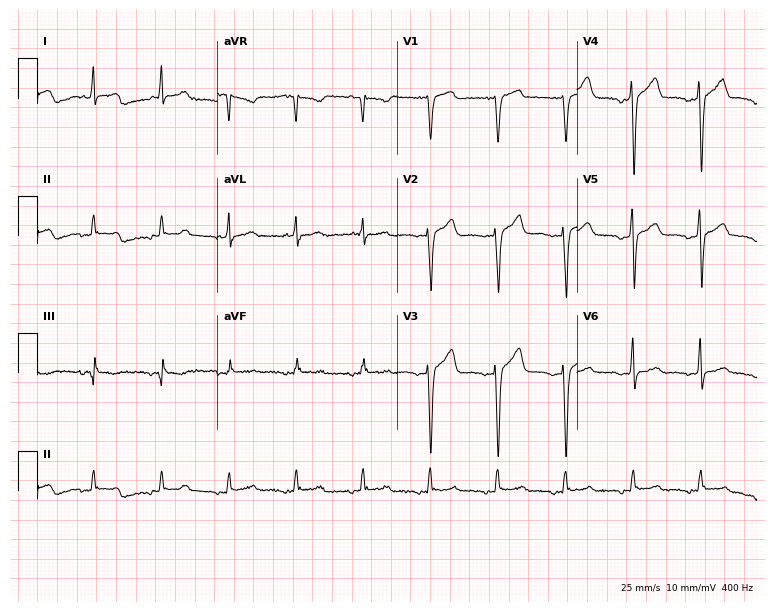
ECG (7.3-second recording at 400 Hz) — a male patient, 47 years old. Screened for six findings — first-degree AV block, right bundle branch block, left bundle branch block, sinus bradycardia, atrial fibrillation, sinus tachycardia — none is recorded.